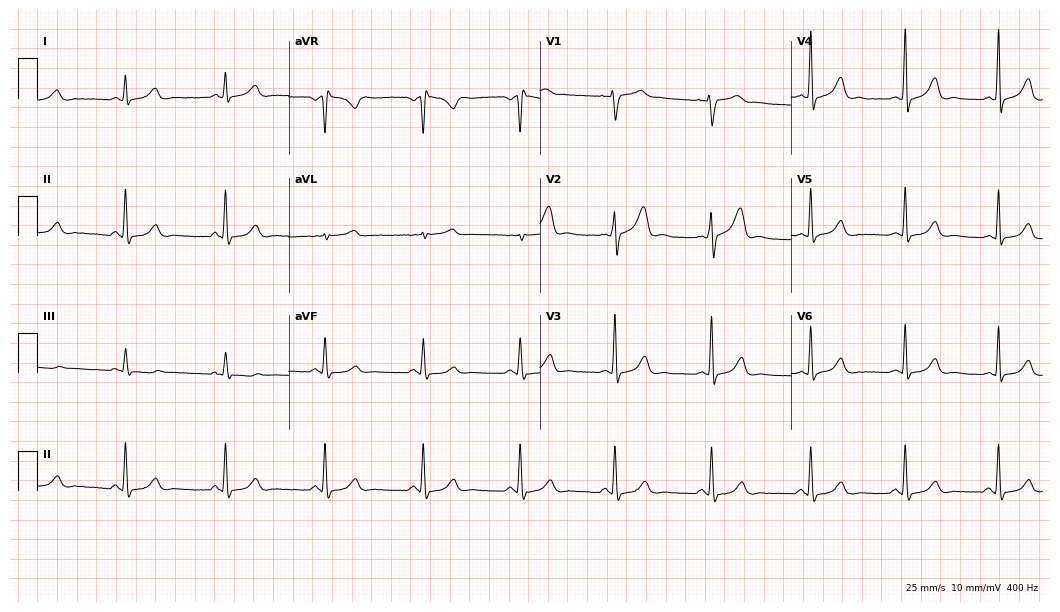
12-lead ECG (10.2-second recording at 400 Hz) from a 27-year-old female. Labelled as a normal ECG.